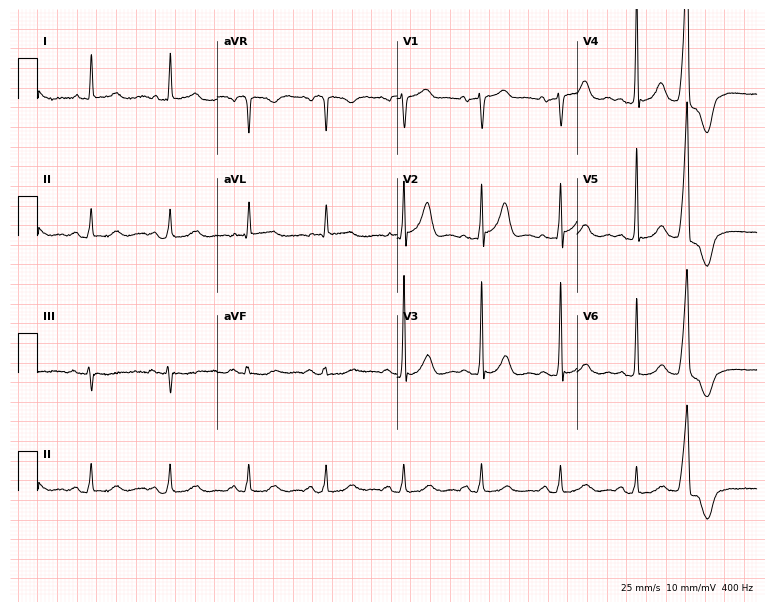
Standard 12-lead ECG recorded from a male, 82 years old. Read as a normal ECG.